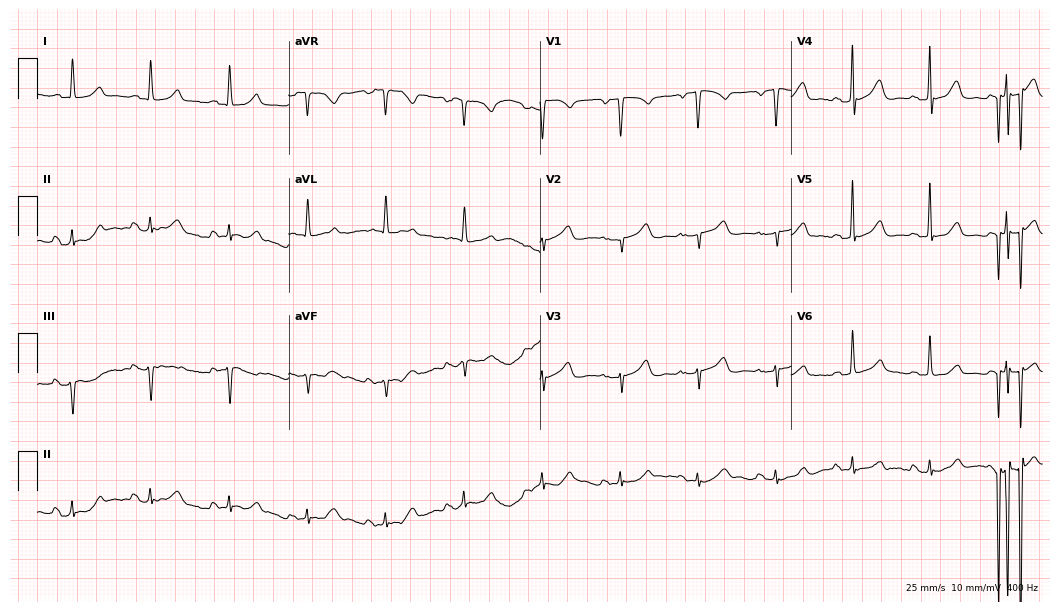
Standard 12-lead ECG recorded from a 71-year-old woman (10.2-second recording at 400 Hz). None of these six findings is recorded: first-degree AV block, right bundle branch block, left bundle branch block, sinus bradycardia, atrial fibrillation, sinus tachycardia.